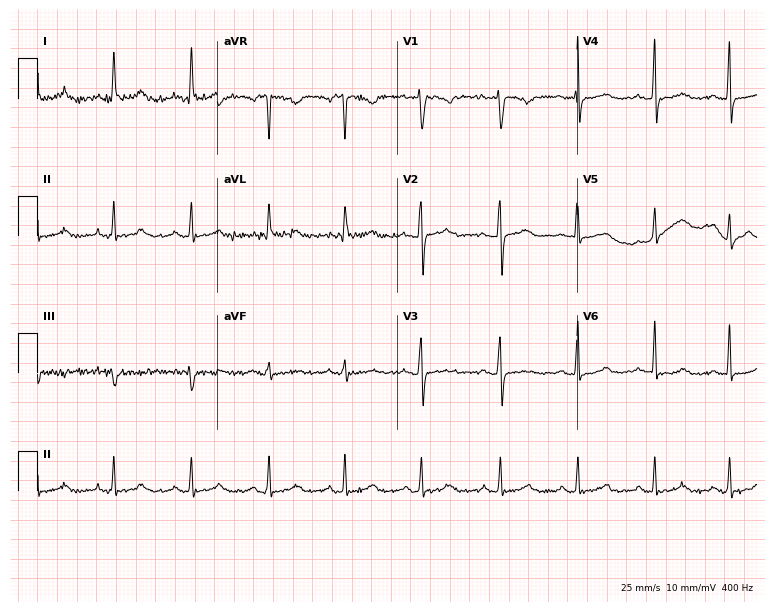
ECG — a 51-year-old female patient. Screened for six findings — first-degree AV block, right bundle branch block (RBBB), left bundle branch block (LBBB), sinus bradycardia, atrial fibrillation (AF), sinus tachycardia — none is recorded. Other findings, if any, are not listed.